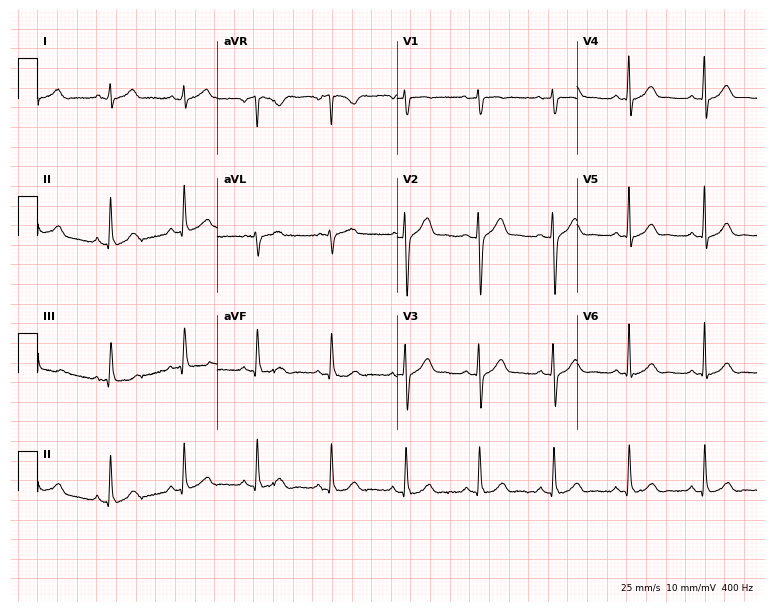
Resting 12-lead electrocardiogram. Patient: a 42-year-old male. Read as a normal ECG.